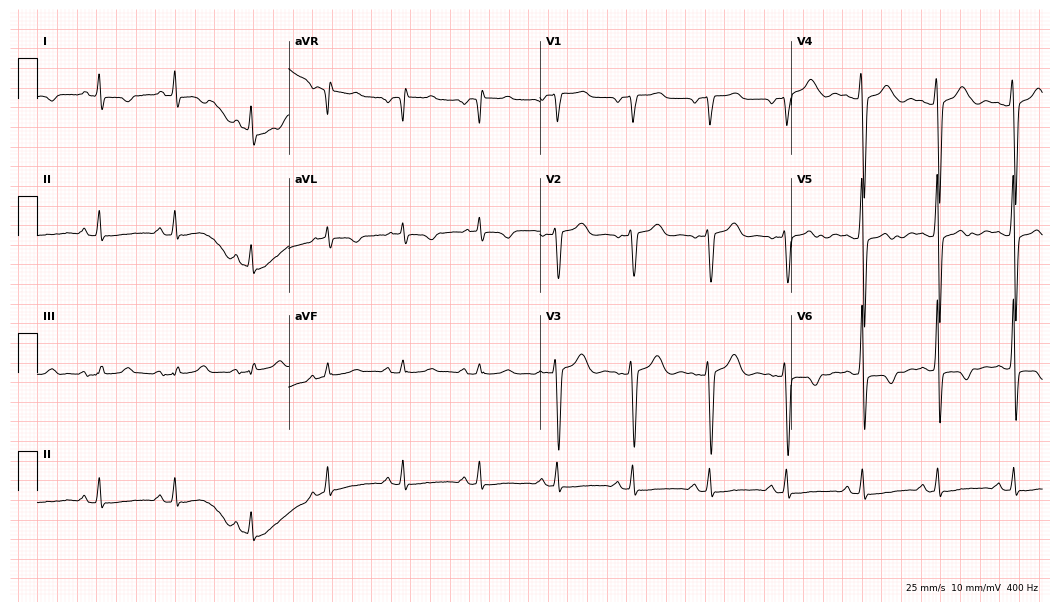
12-lead ECG from a 54-year-old man. Screened for six findings — first-degree AV block, right bundle branch block, left bundle branch block, sinus bradycardia, atrial fibrillation, sinus tachycardia — none is recorded.